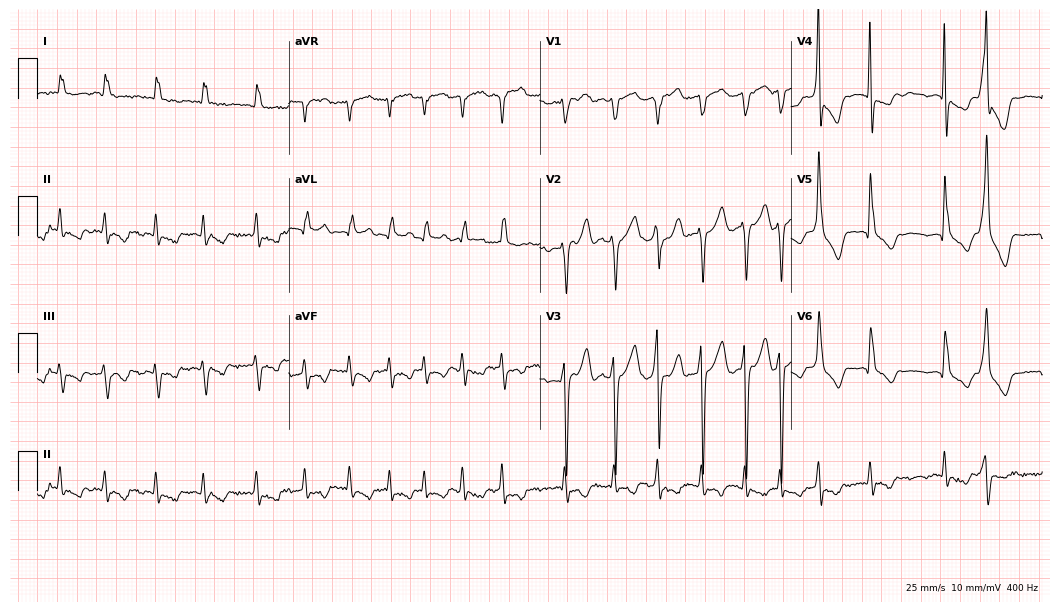
Electrocardiogram, a 67-year-old man. Interpretation includes atrial fibrillation (AF).